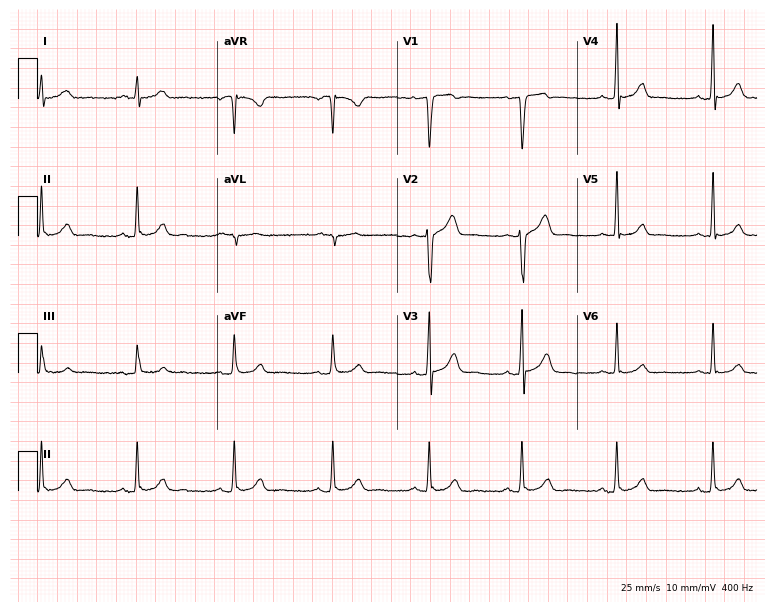
12-lead ECG from a male, 32 years old. Labelled as a normal ECG.